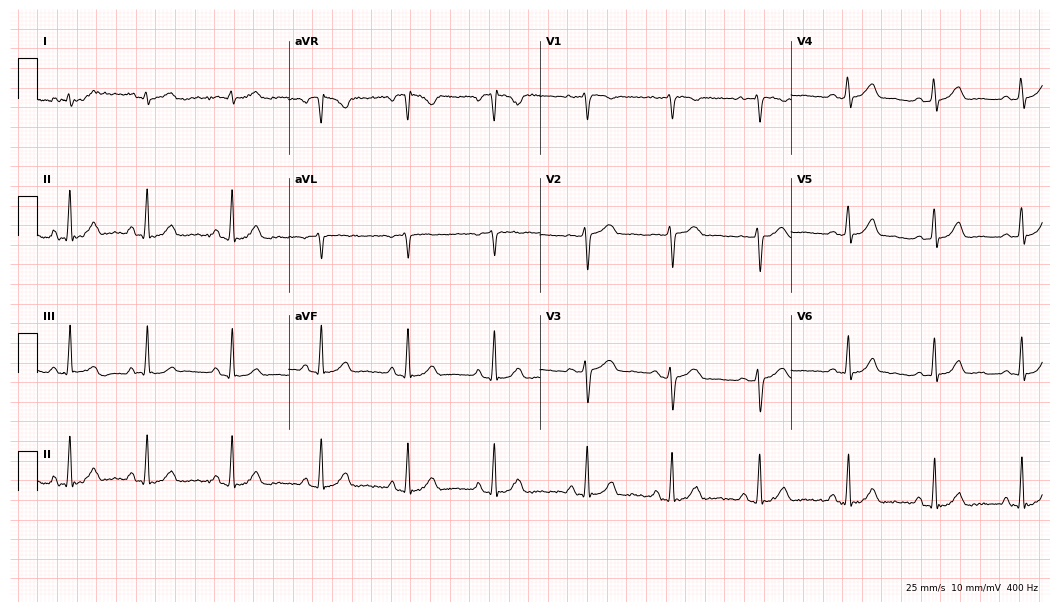
ECG (10.2-second recording at 400 Hz) — a female patient, 26 years old. Labelled as a normal ECG.